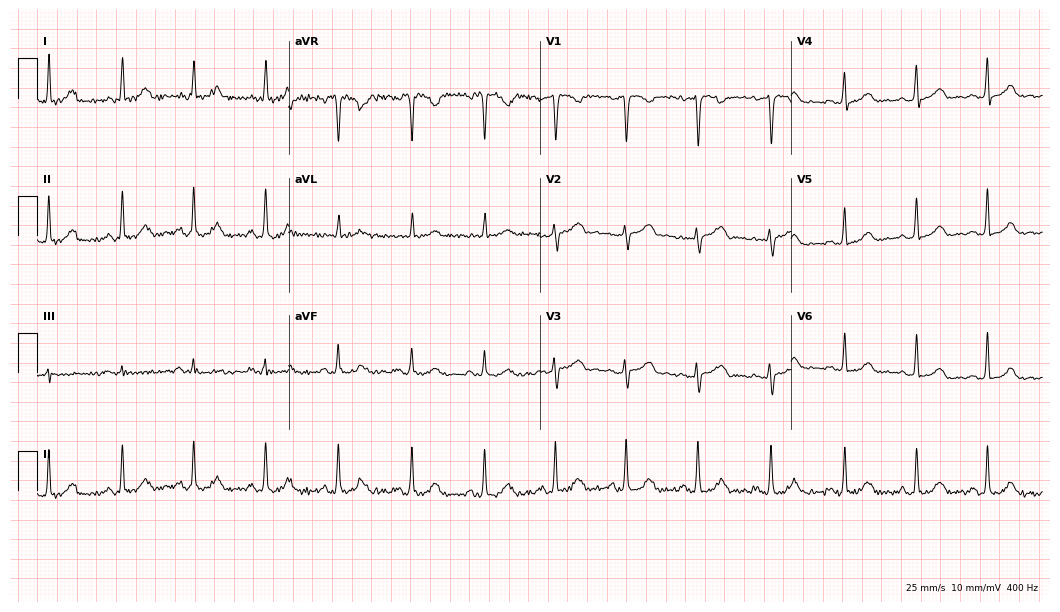
12-lead ECG (10.2-second recording at 400 Hz) from a 35-year-old female patient. Labelled as a normal ECG.